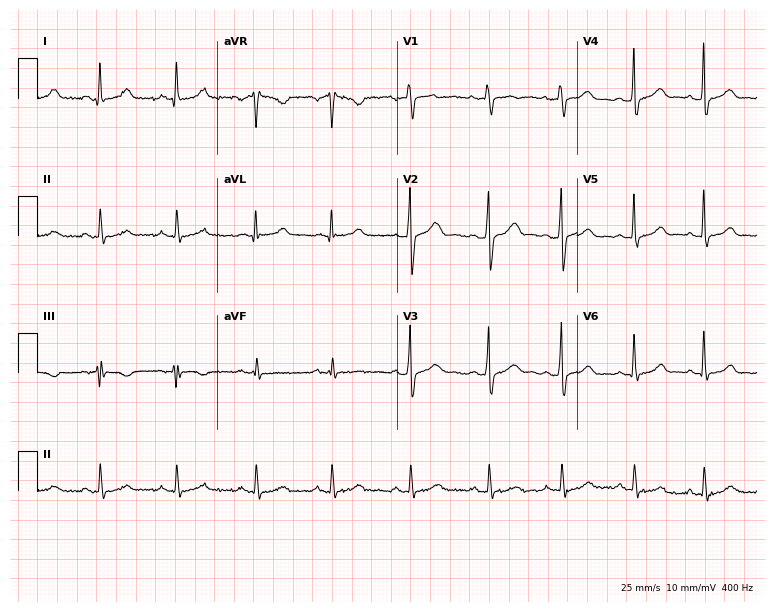
12-lead ECG from a 32-year-old female. Labelled as a normal ECG.